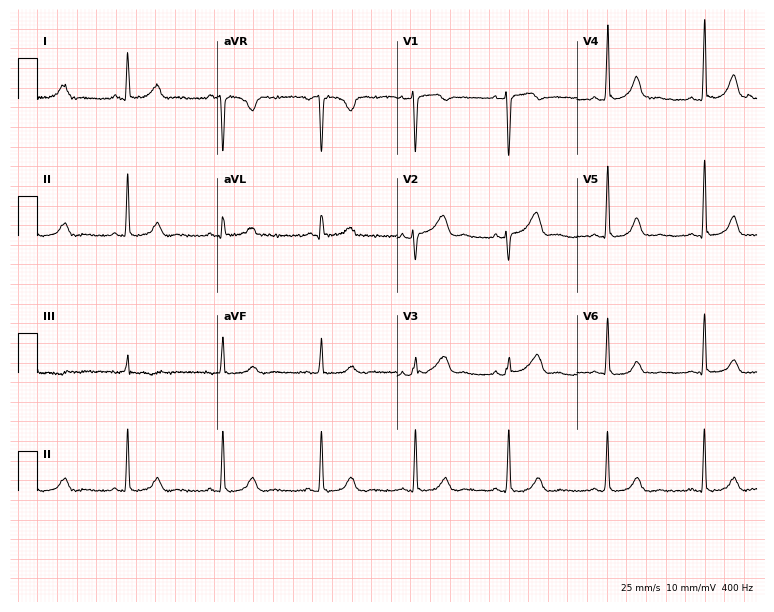
Standard 12-lead ECG recorded from a 45-year-old female (7.3-second recording at 400 Hz). None of these six findings is recorded: first-degree AV block, right bundle branch block (RBBB), left bundle branch block (LBBB), sinus bradycardia, atrial fibrillation (AF), sinus tachycardia.